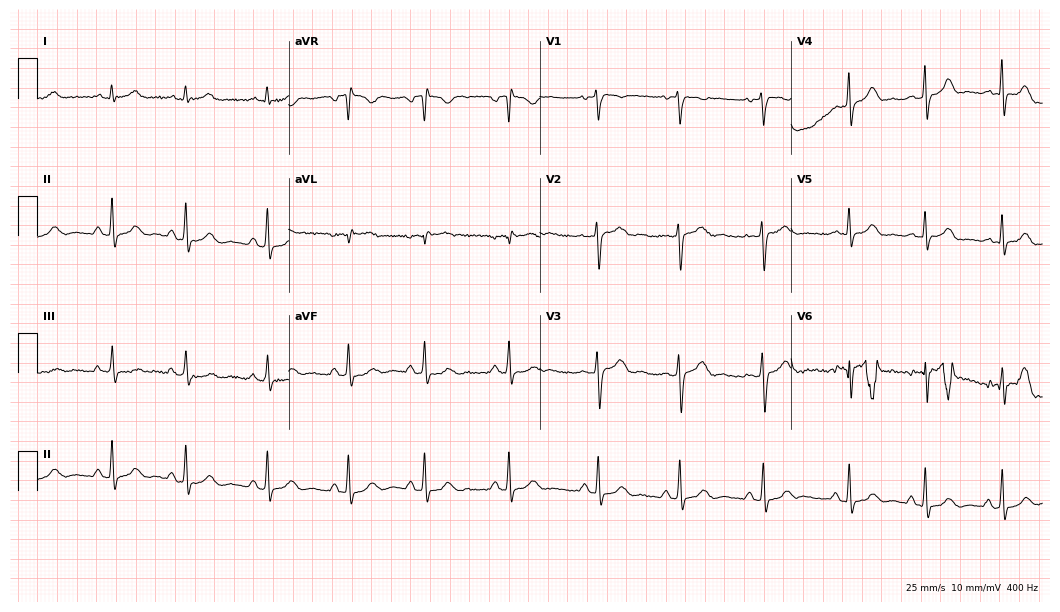
12-lead ECG (10.2-second recording at 400 Hz) from a woman, 23 years old. Labelled as a normal ECG.